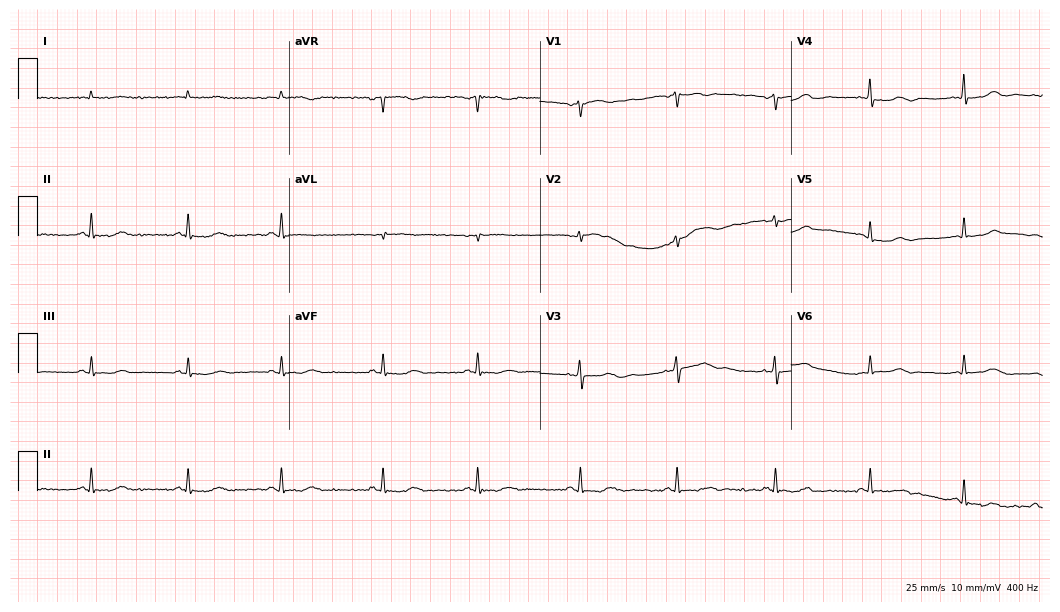
Resting 12-lead electrocardiogram. Patient: a female, 47 years old. None of these six findings is recorded: first-degree AV block, right bundle branch block, left bundle branch block, sinus bradycardia, atrial fibrillation, sinus tachycardia.